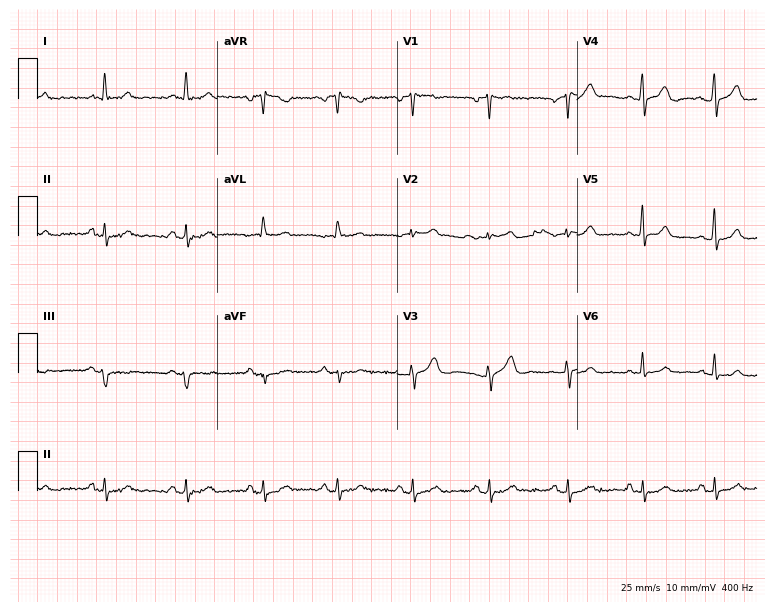
Electrocardiogram, a woman, 44 years old. Overall reading on record: normal ECG.